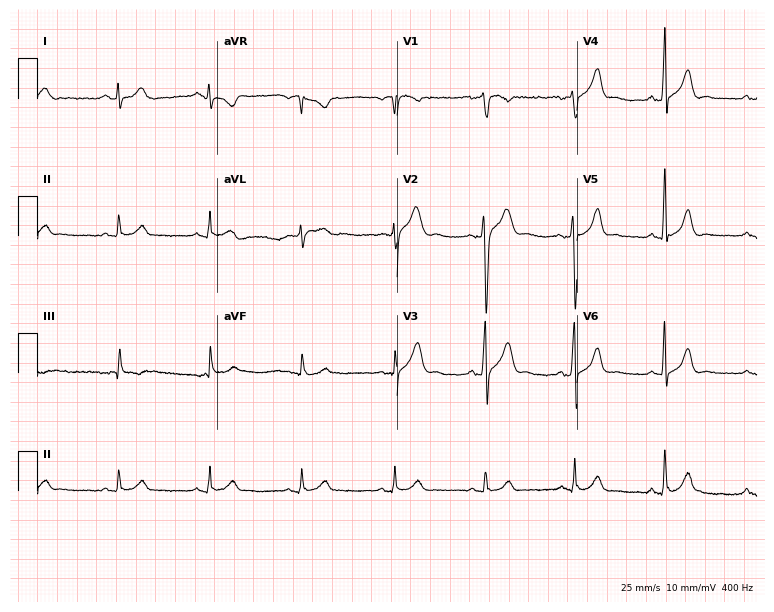
Resting 12-lead electrocardiogram (7.3-second recording at 400 Hz). Patient: a man, 33 years old. Read as a normal ECG.